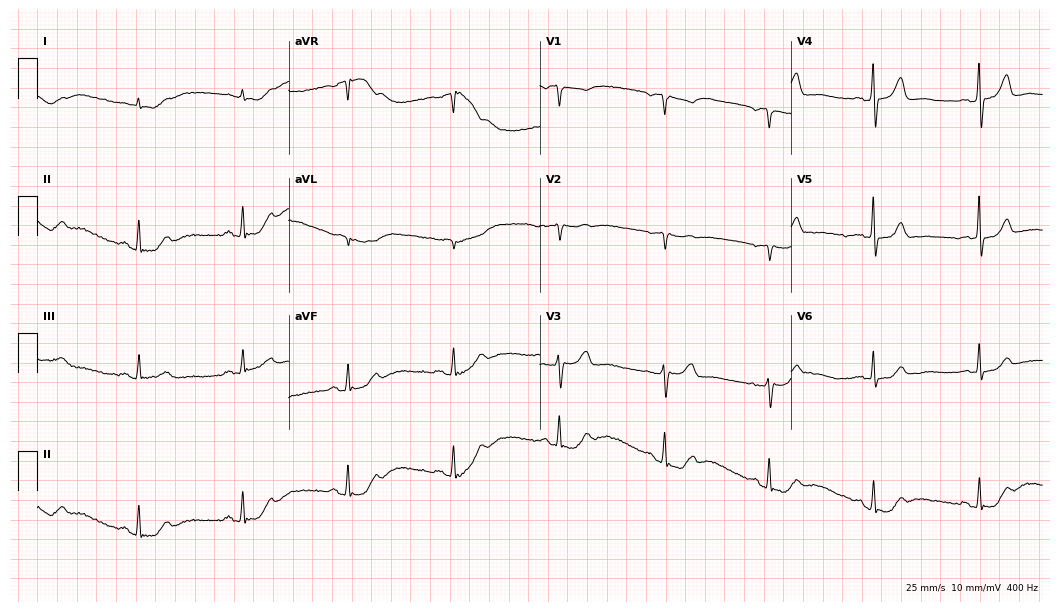
Standard 12-lead ECG recorded from an 83-year-old male patient. None of these six findings is recorded: first-degree AV block, right bundle branch block, left bundle branch block, sinus bradycardia, atrial fibrillation, sinus tachycardia. Other findings, if any, are not listed.